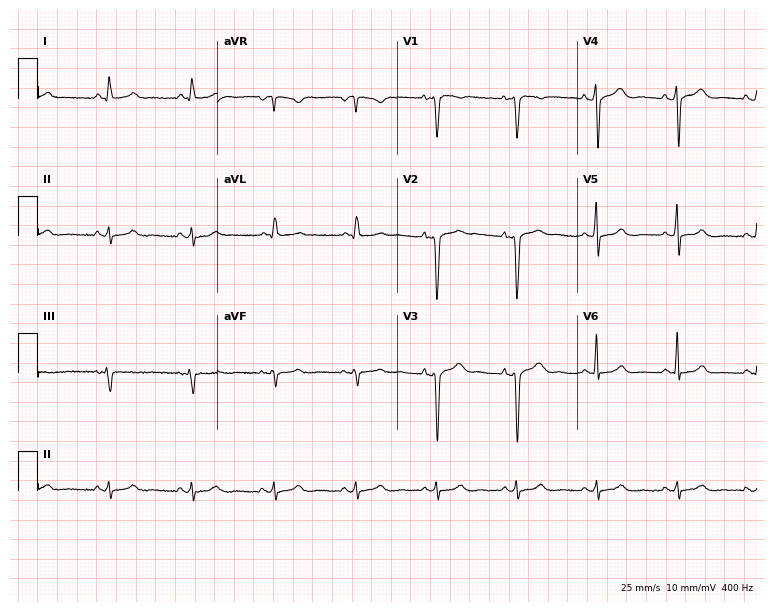
Resting 12-lead electrocardiogram (7.3-second recording at 400 Hz). Patient: a woman, 42 years old. None of these six findings is recorded: first-degree AV block, right bundle branch block, left bundle branch block, sinus bradycardia, atrial fibrillation, sinus tachycardia.